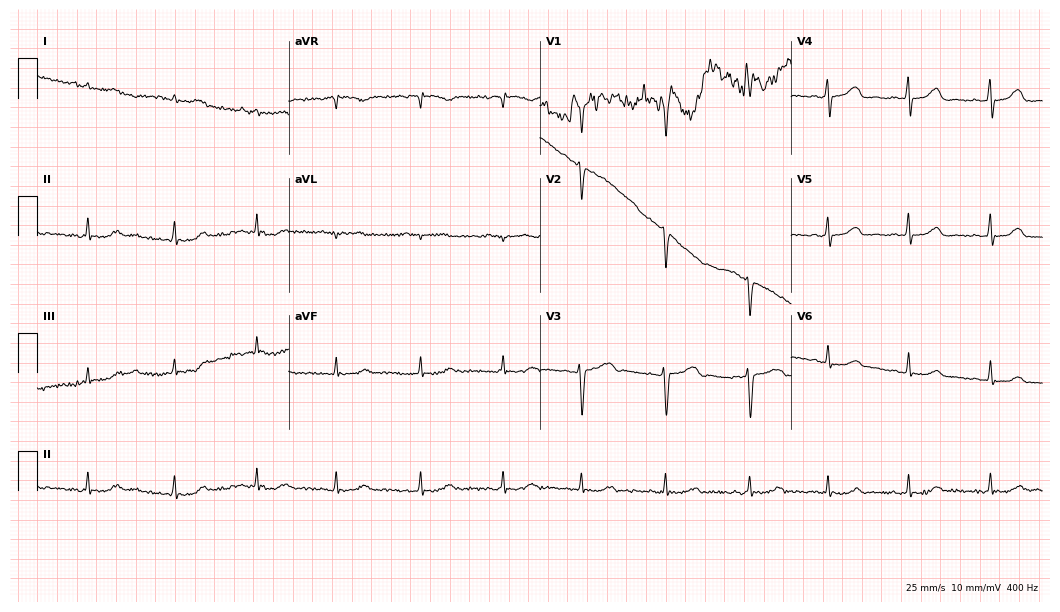
ECG (10.2-second recording at 400 Hz) — a woman, 39 years old. Labelled as a normal ECG.